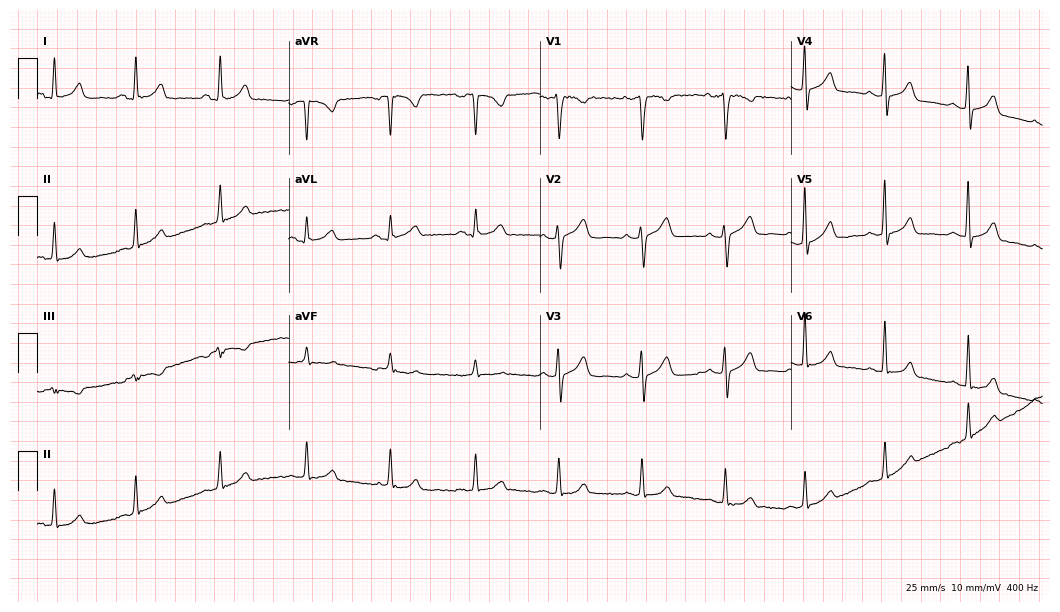
Electrocardiogram, a 34-year-old female patient. Overall reading on record: normal ECG.